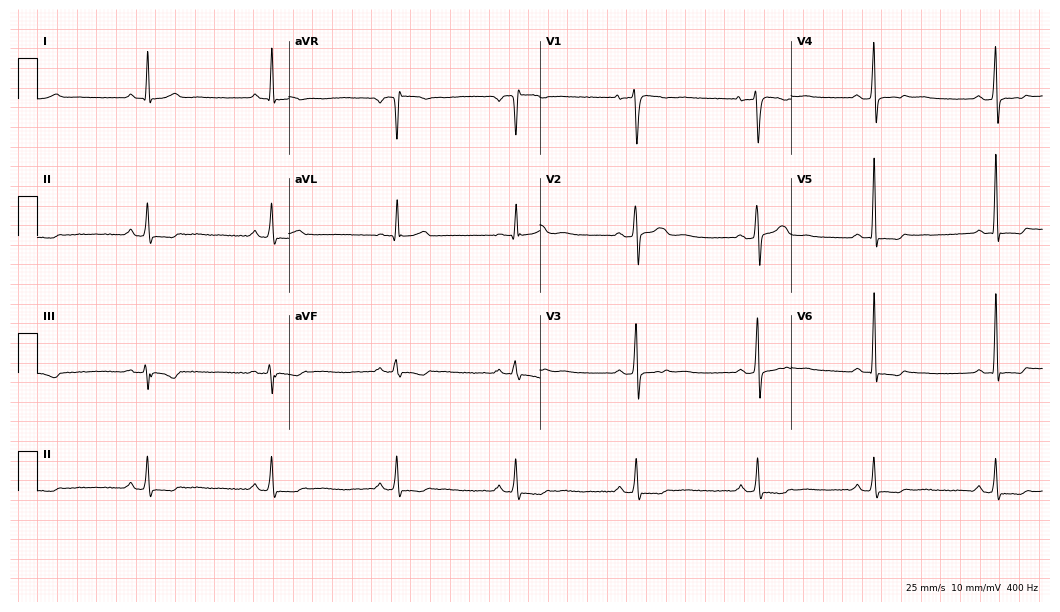
Resting 12-lead electrocardiogram. Patient: a male, 38 years old. The tracing shows sinus bradycardia (a sinus rate of 50 beats per minute or less).